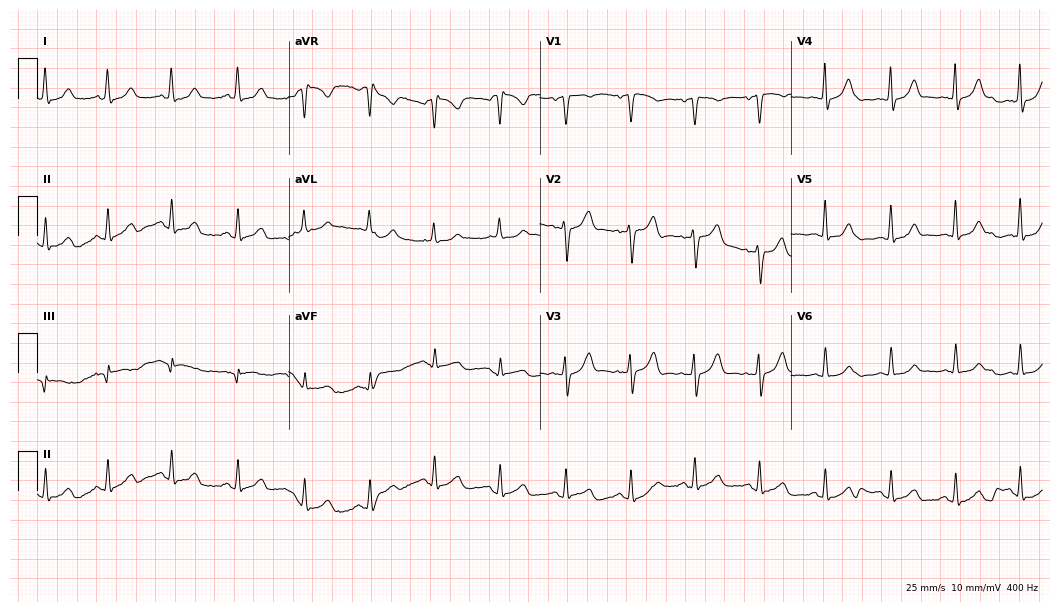
Electrocardiogram, a female, 44 years old. Overall reading on record: normal ECG.